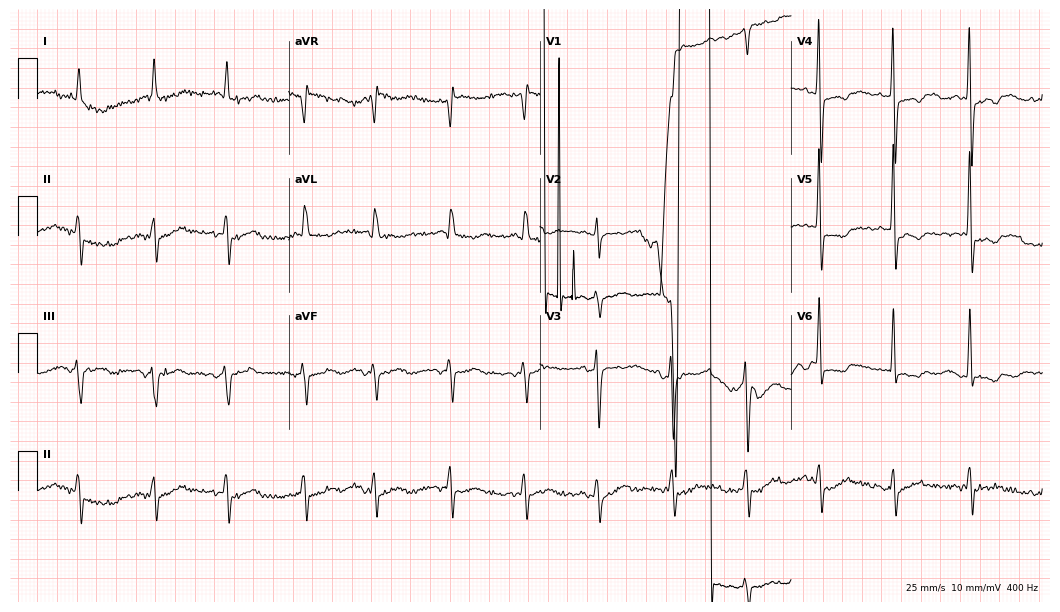
12-lead ECG (10.2-second recording at 400 Hz) from a 73-year-old male patient. Screened for six findings — first-degree AV block, right bundle branch block (RBBB), left bundle branch block (LBBB), sinus bradycardia, atrial fibrillation (AF), sinus tachycardia — none is recorded. Only these six findings were labelled.